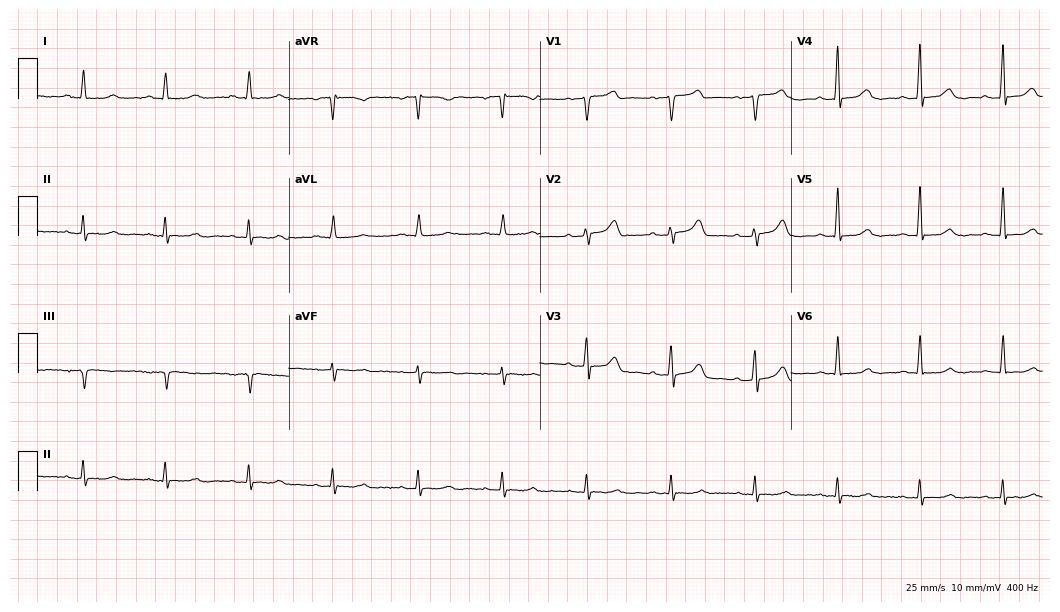
12-lead ECG from a male patient, 64 years old (10.2-second recording at 400 Hz). Recorded interpretation: within normal limits.